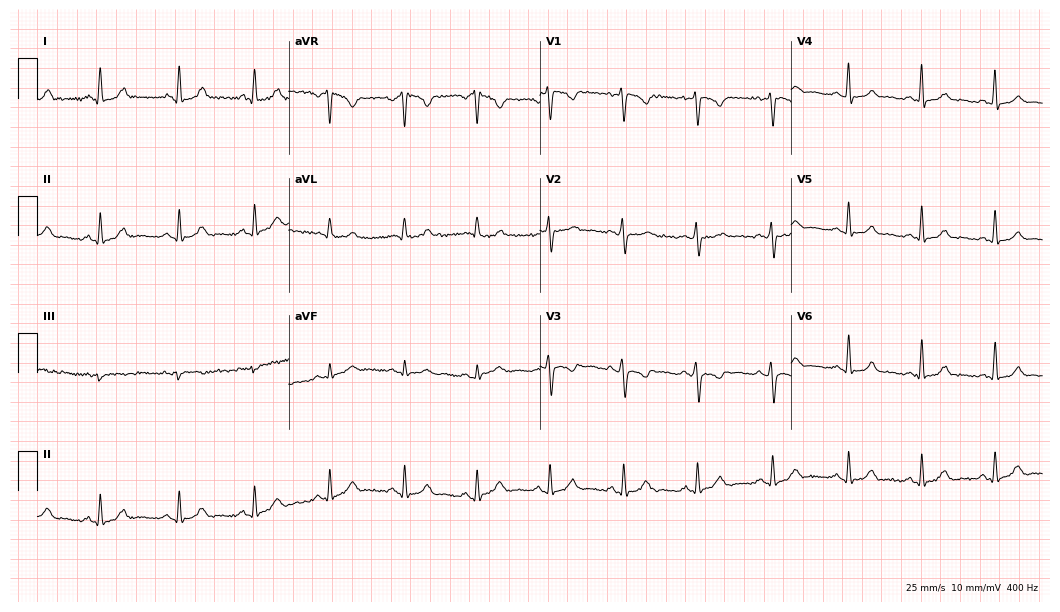
Standard 12-lead ECG recorded from a female, 26 years old (10.2-second recording at 400 Hz). Read as a normal ECG.